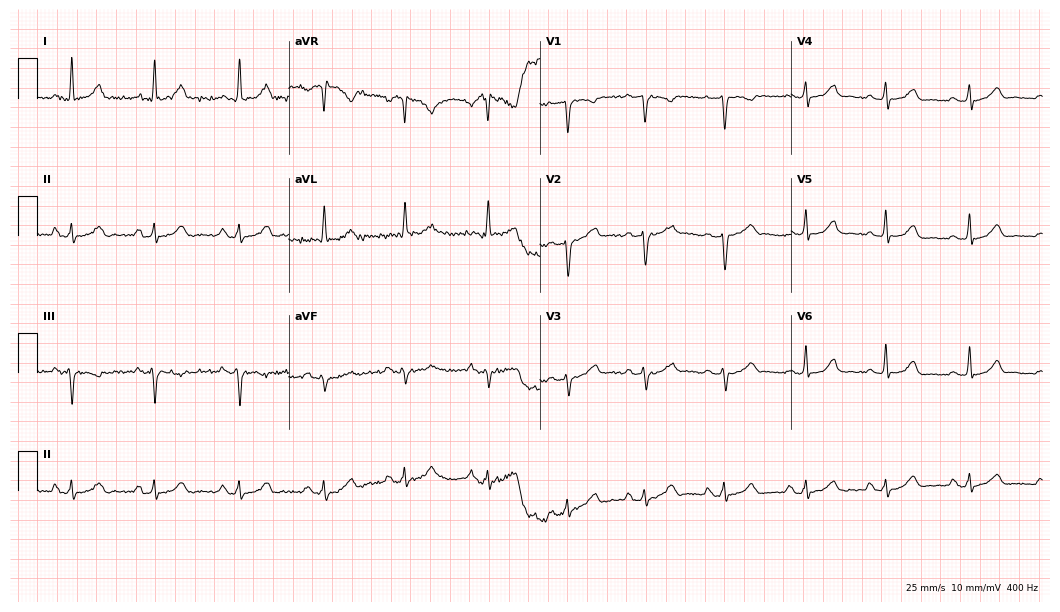
Standard 12-lead ECG recorded from a woman, 37 years old. Read as a normal ECG.